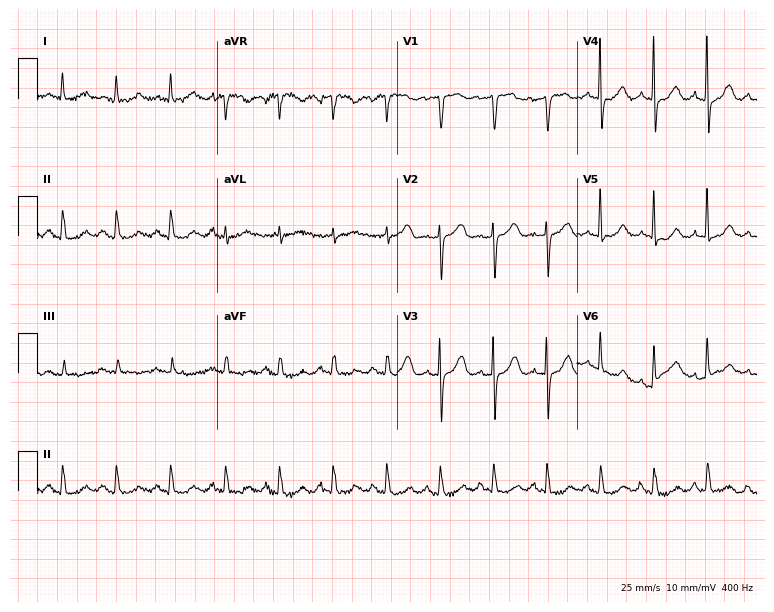
12-lead ECG from a 65-year-old female. No first-degree AV block, right bundle branch block, left bundle branch block, sinus bradycardia, atrial fibrillation or sinus tachycardia recorded for this tracing.